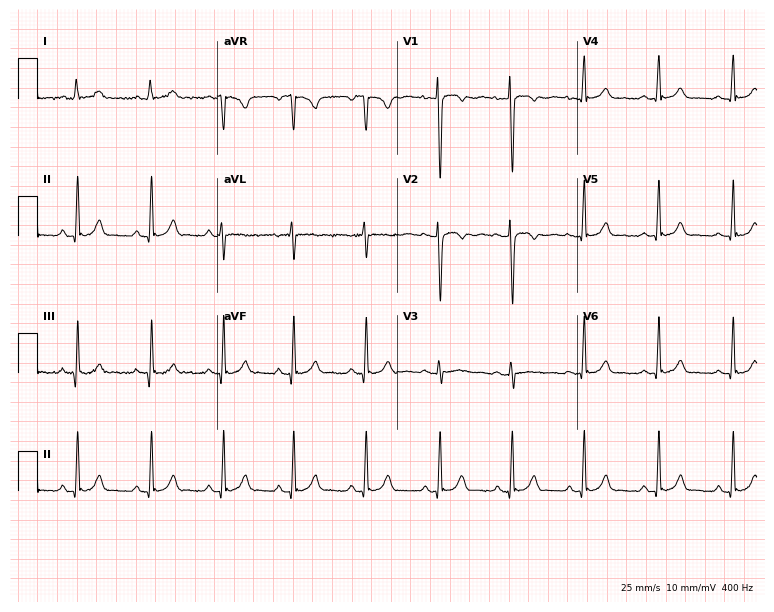
ECG (7.3-second recording at 400 Hz) — a female patient, 20 years old. Labelled as a normal ECG.